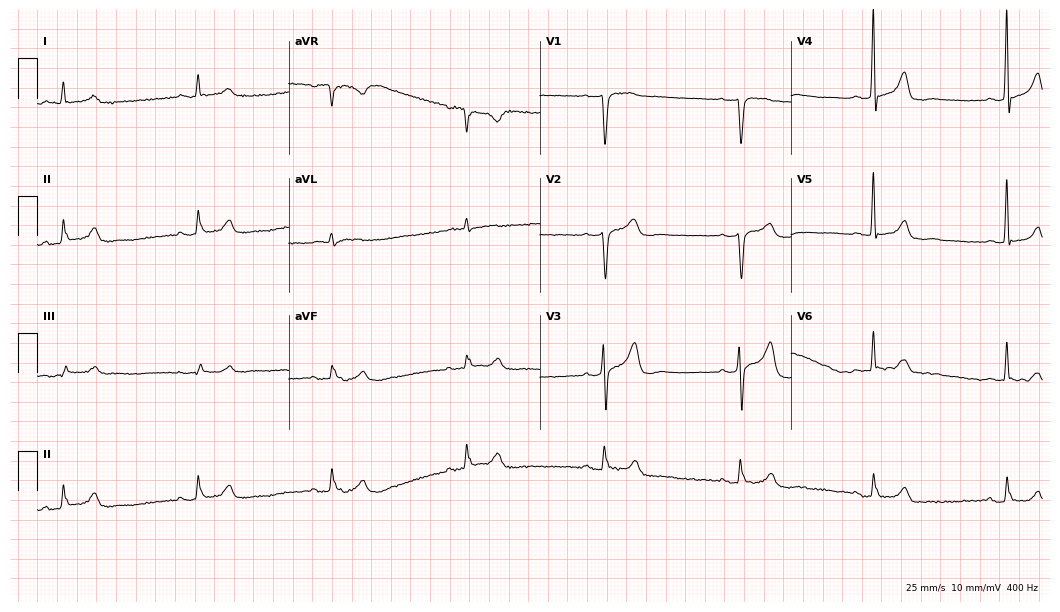
12-lead ECG from a 68-year-old male. Findings include first-degree AV block, sinus bradycardia (a sinus rate of 50 beats per minute or less).